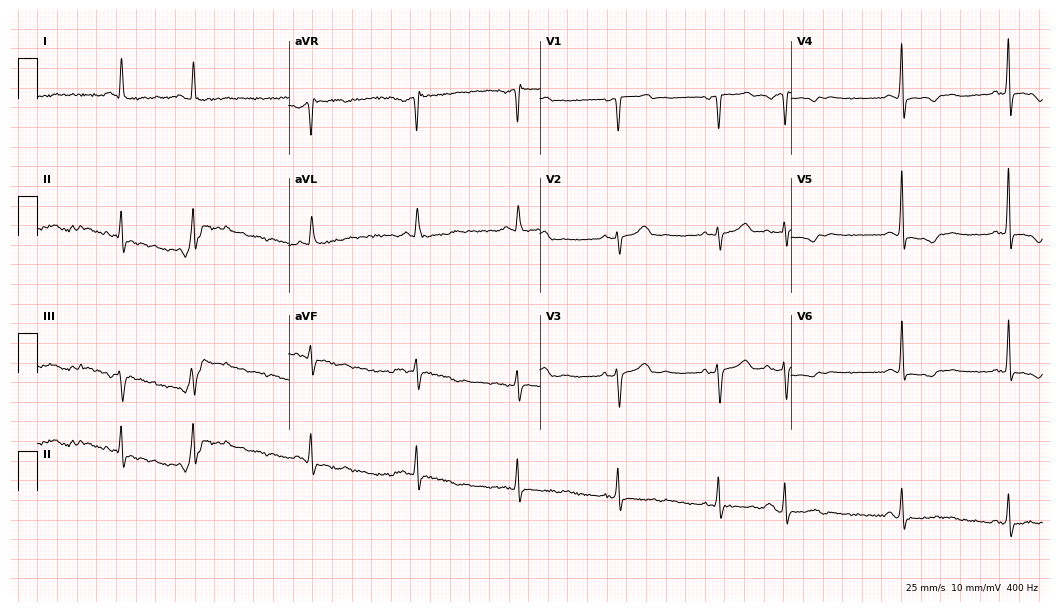
12-lead ECG from a female, 62 years old. No first-degree AV block, right bundle branch block (RBBB), left bundle branch block (LBBB), sinus bradycardia, atrial fibrillation (AF) or sinus tachycardia recorded for this tracing. Only these six findings were labelled.